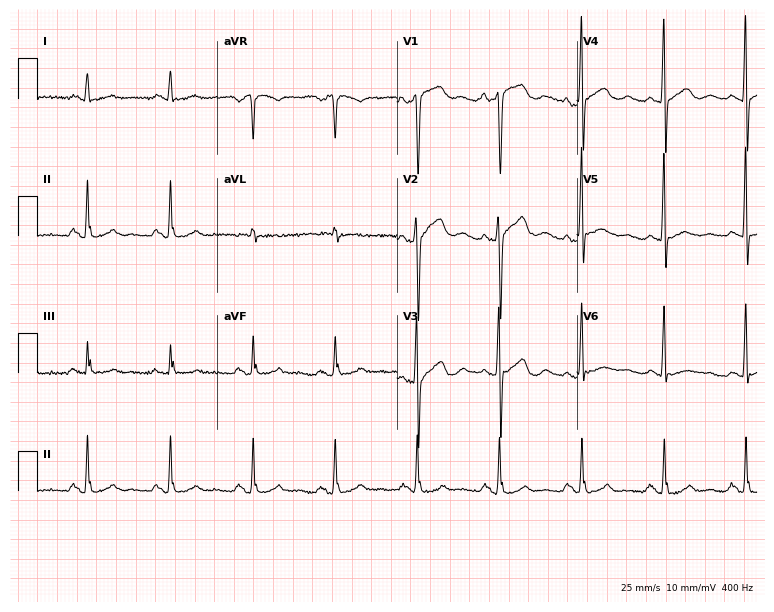
12-lead ECG from a 69-year-old male patient. No first-degree AV block, right bundle branch block, left bundle branch block, sinus bradycardia, atrial fibrillation or sinus tachycardia recorded for this tracing. Only these six findings were labelled.